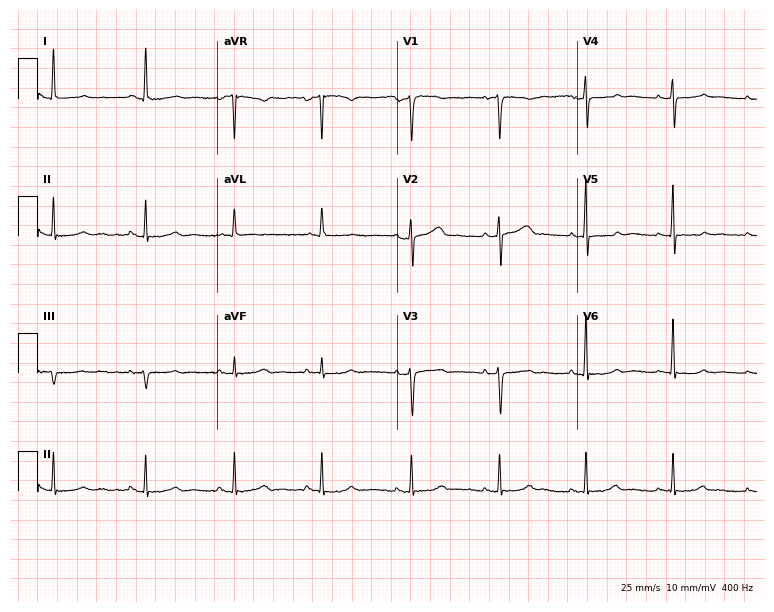
Resting 12-lead electrocardiogram (7.3-second recording at 400 Hz). Patient: a 67-year-old female. Read as a normal ECG.